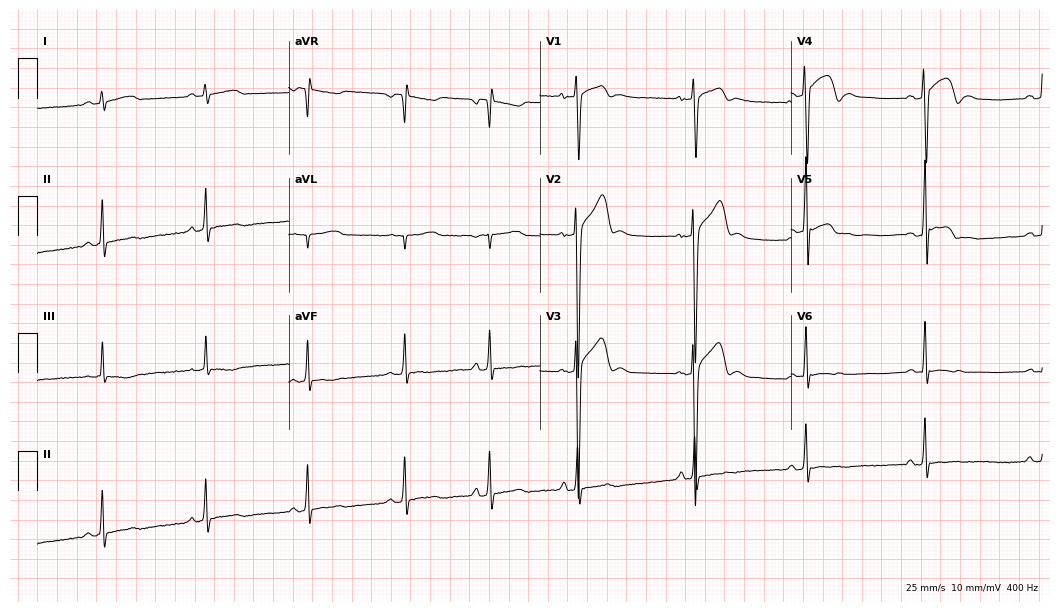
Electrocardiogram (10.2-second recording at 400 Hz), a 19-year-old male. Overall reading on record: normal ECG.